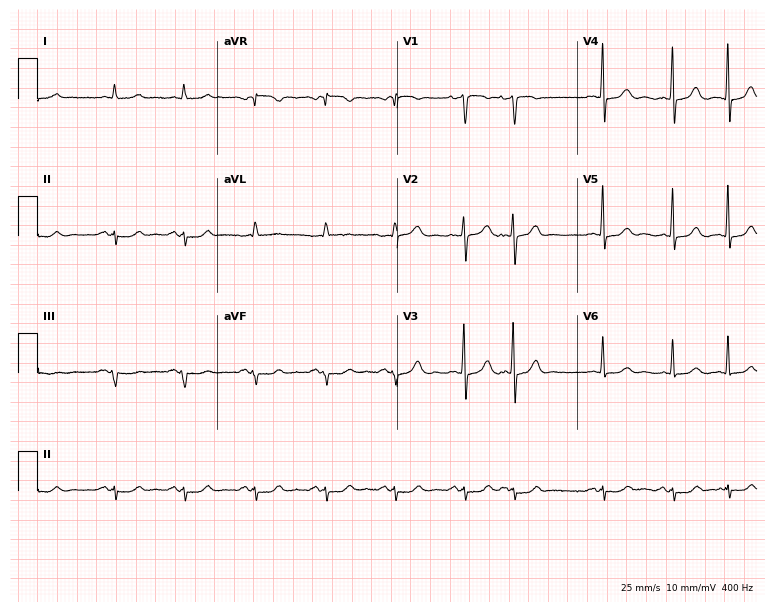
12-lead ECG from an 80-year-old male patient. Screened for six findings — first-degree AV block, right bundle branch block (RBBB), left bundle branch block (LBBB), sinus bradycardia, atrial fibrillation (AF), sinus tachycardia — none is recorded. Only these six findings were labelled.